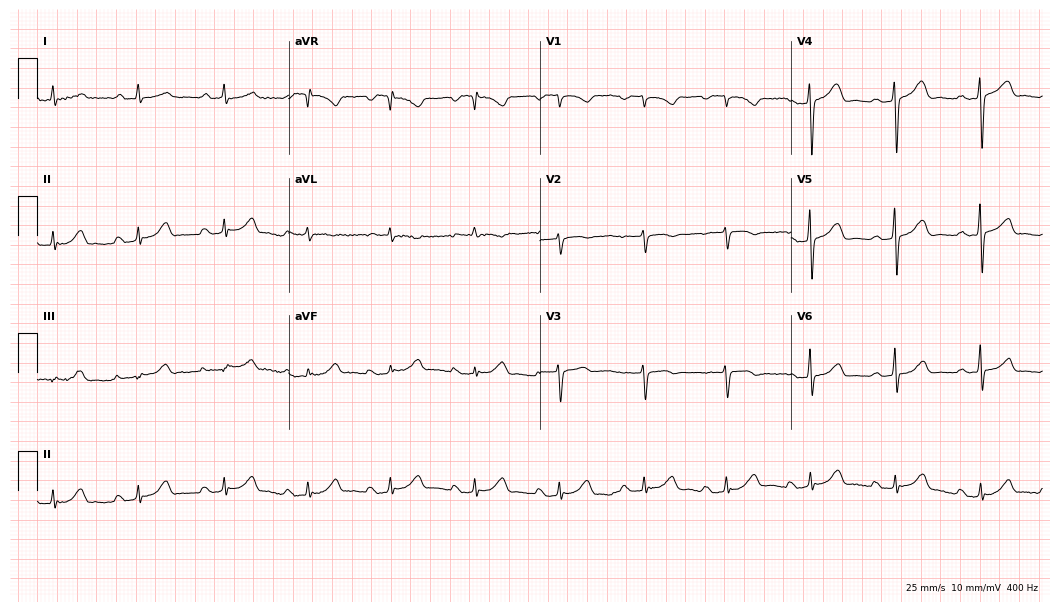
Standard 12-lead ECG recorded from a 79-year-old female patient (10.2-second recording at 400 Hz). Read as a normal ECG.